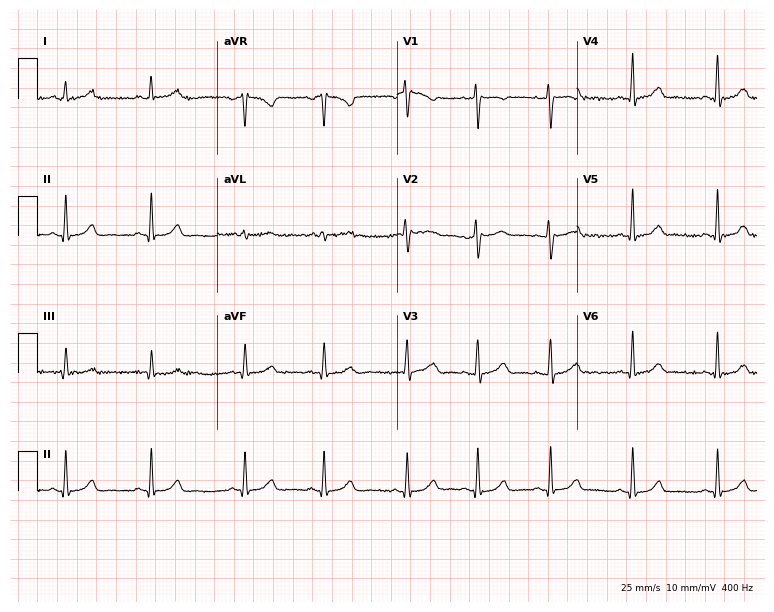
Electrocardiogram, a woman, 35 years old. Overall reading on record: normal ECG.